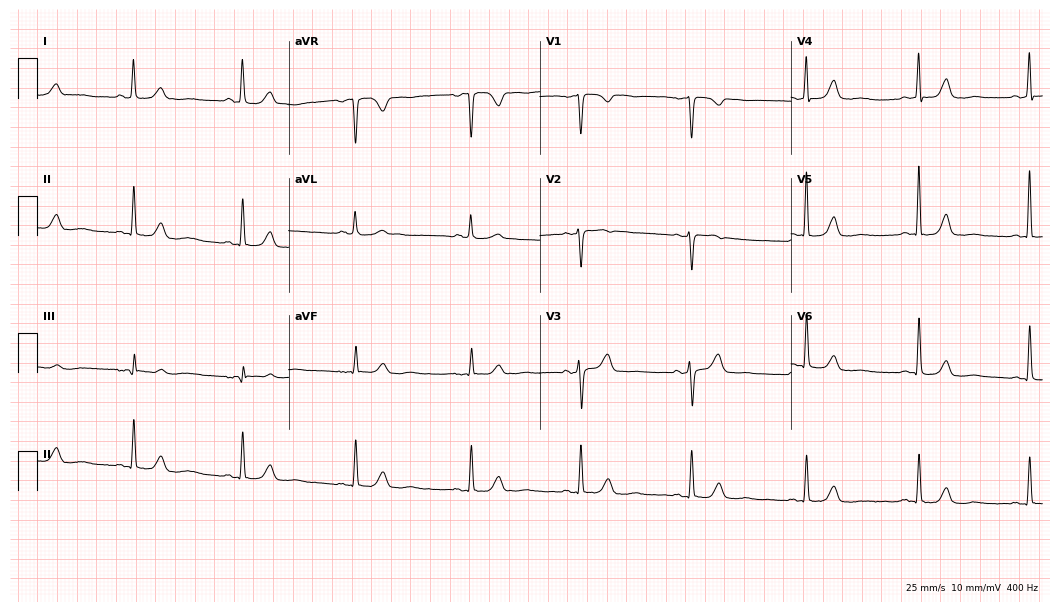
Standard 12-lead ECG recorded from a 73-year-old woman (10.2-second recording at 400 Hz). Read as a normal ECG.